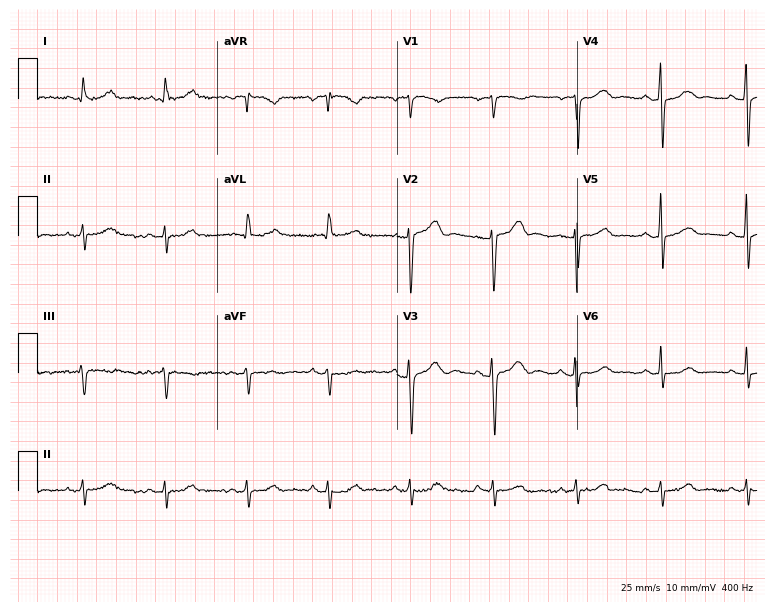
Electrocardiogram, a man, 60 years old. Of the six screened findings (first-degree AV block, right bundle branch block, left bundle branch block, sinus bradycardia, atrial fibrillation, sinus tachycardia), none is recorded. Only these six findings were labelled.